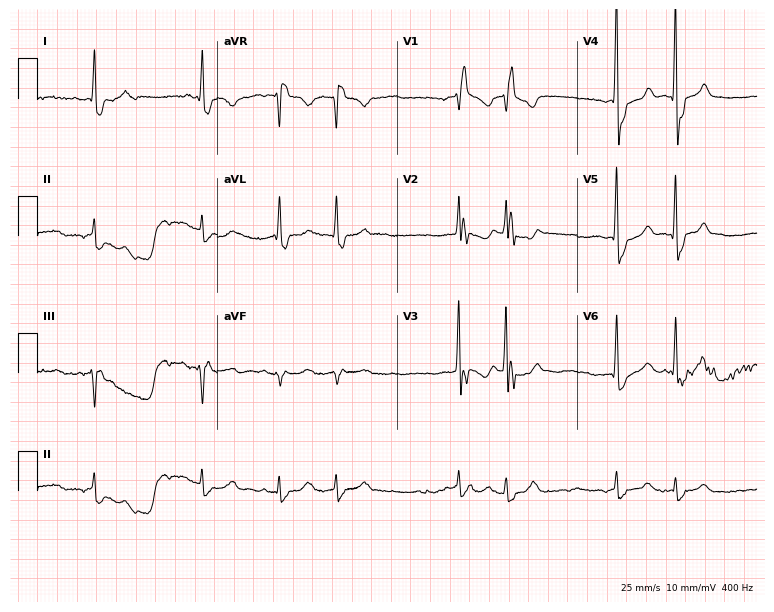
Standard 12-lead ECG recorded from a male patient, 73 years old (7.3-second recording at 400 Hz). None of these six findings is recorded: first-degree AV block, right bundle branch block (RBBB), left bundle branch block (LBBB), sinus bradycardia, atrial fibrillation (AF), sinus tachycardia. Only these six findings were labelled.